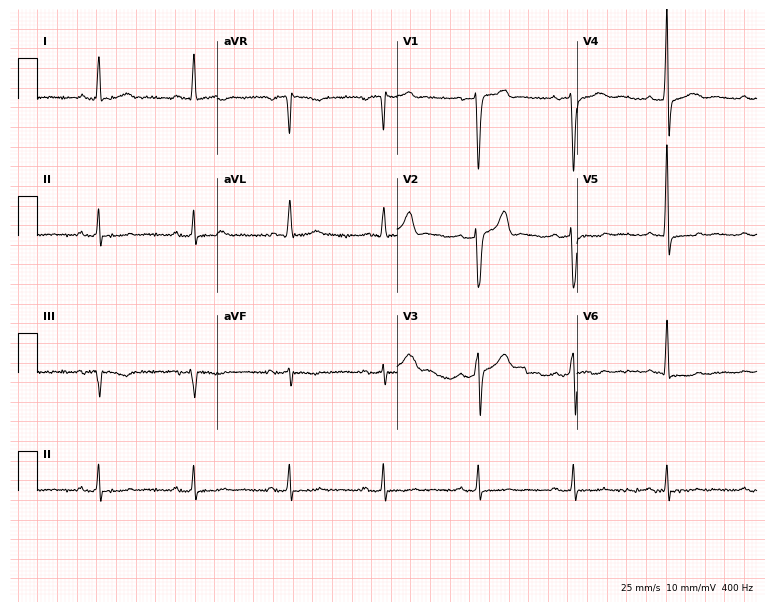
Electrocardiogram (7.3-second recording at 400 Hz), a male patient, 78 years old. Overall reading on record: normal ECG.